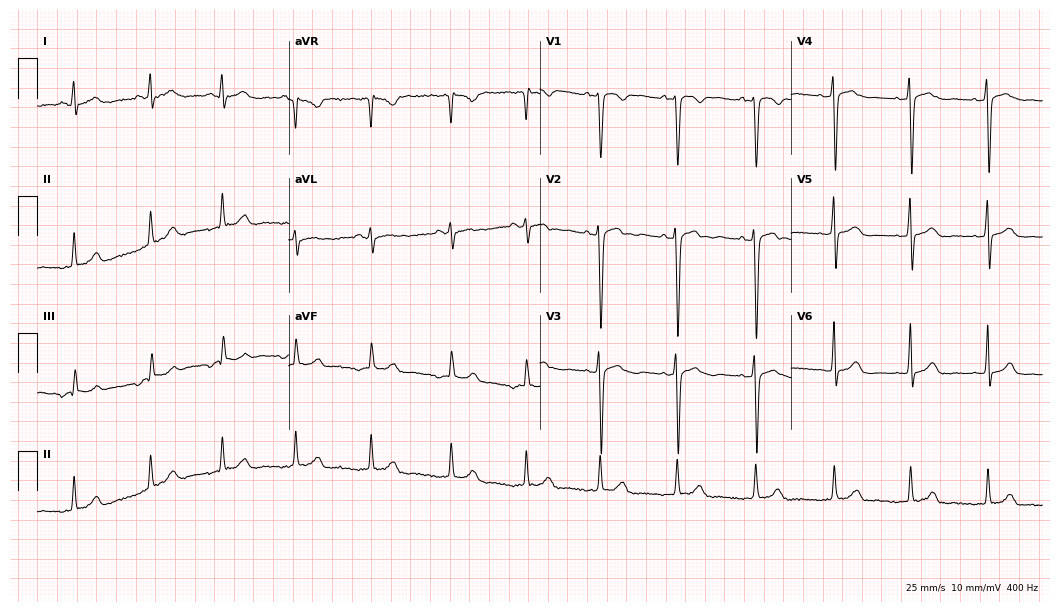
Electrocardiogram, a 24-year-old woman. Of the six screened findings (first-degree AV block, right bundle branch block, left bundle branch block, sinus bradycardia, atrial fibrillation, sinus tachycardia), none is recorded. Findings outside these six are not listed.